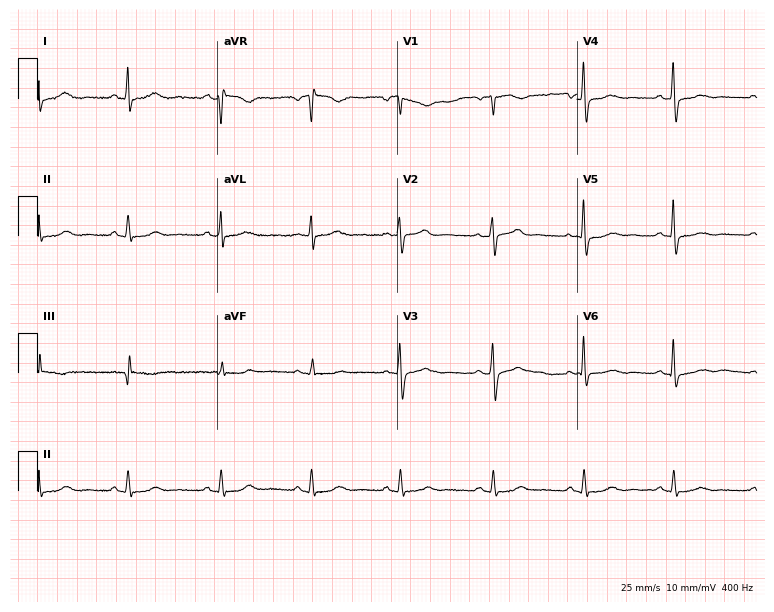
12-lead ECG from a 62-year-old woman (7.3-second recording at 400 Hz). No first-degree AV block, right bundle branch block (RBBB), left bundle branch block (LBBB), sinus bradycardia, atrial fibrillation (AF) or sinus tachycardia recorded for this tracing. Findings outside these six are not listed.